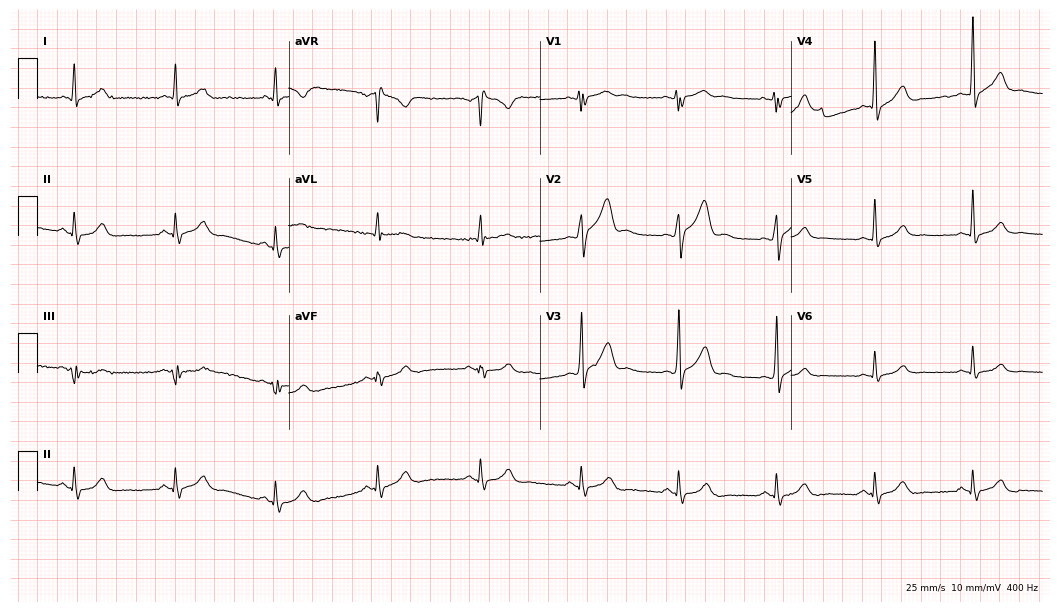
Resting 12-lead electrocardiogram. Patient: a 40-year-old man. None of these six findings is recorded: first-degree AV block, right bundle branch block (RBBB), left bundle branch block (LBBB), sinus bradycardia, atrial fibrillation (AF), sinus tachycardia. Other findings, if any, are not listed.